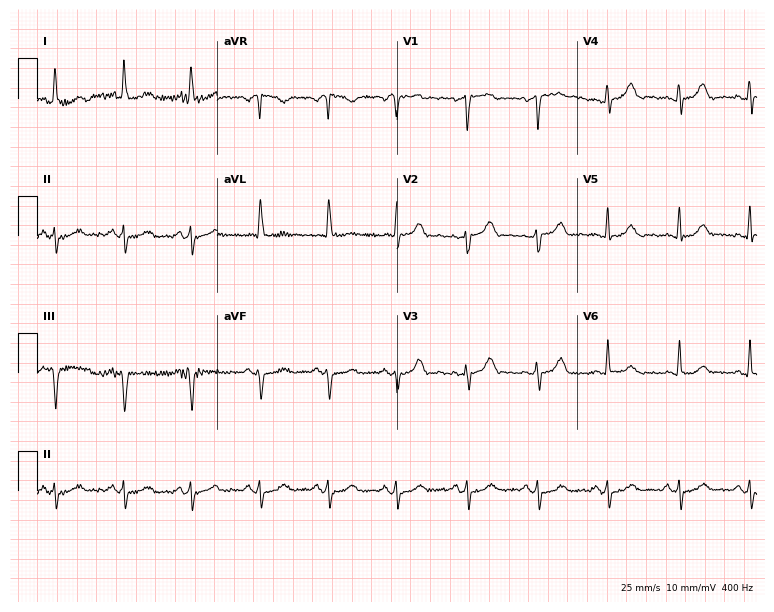
12-lead ECG from a woman, 54 years old. No first-degree AV block, right bundle branch block (RBBB), left bundle branch block (LBBB), sinus bradycardia, atrial fibrillation (AF) or sinus tachycardia recorded for this tracing.